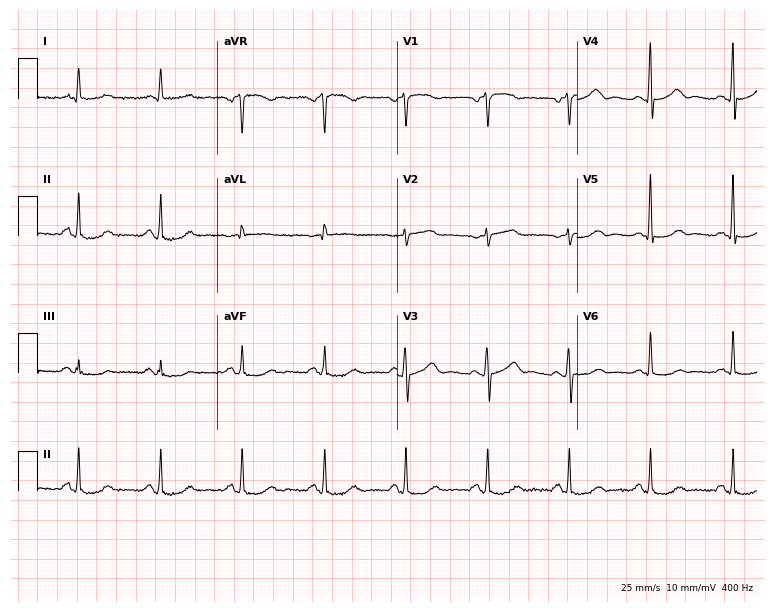
Electrocardiogram (7.3-second recording at 400 Hz), a woman, 74 years old. Overall reading on record: normal ECG.